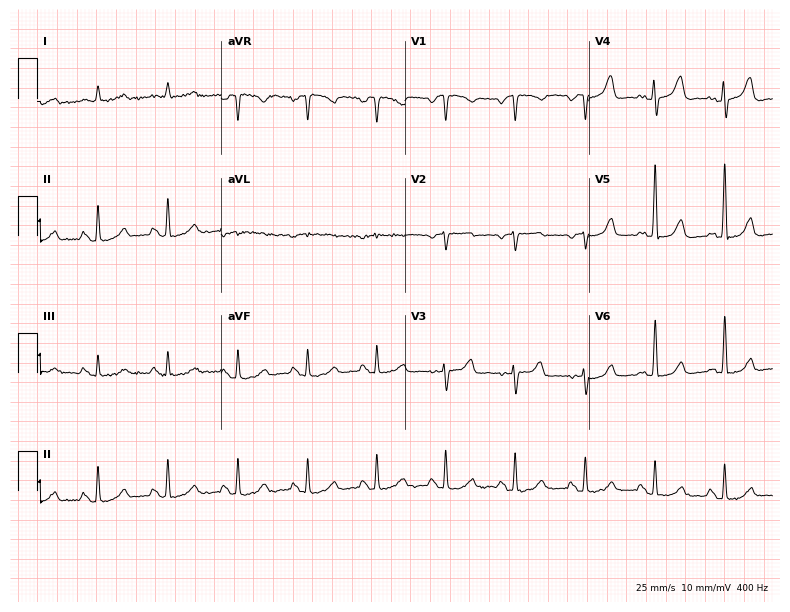
12-lead ECG from a male patient, 85 years old (7.5-second recording at 400 Hz). No first-degree AV block, right bundle branch block (RBBB), left bundle branch block (LBBB), sinus bradycardia, atrial fibrillation (AF) or sinus tachycardia recorded for this tracing. Other findings, if any, are not listed.